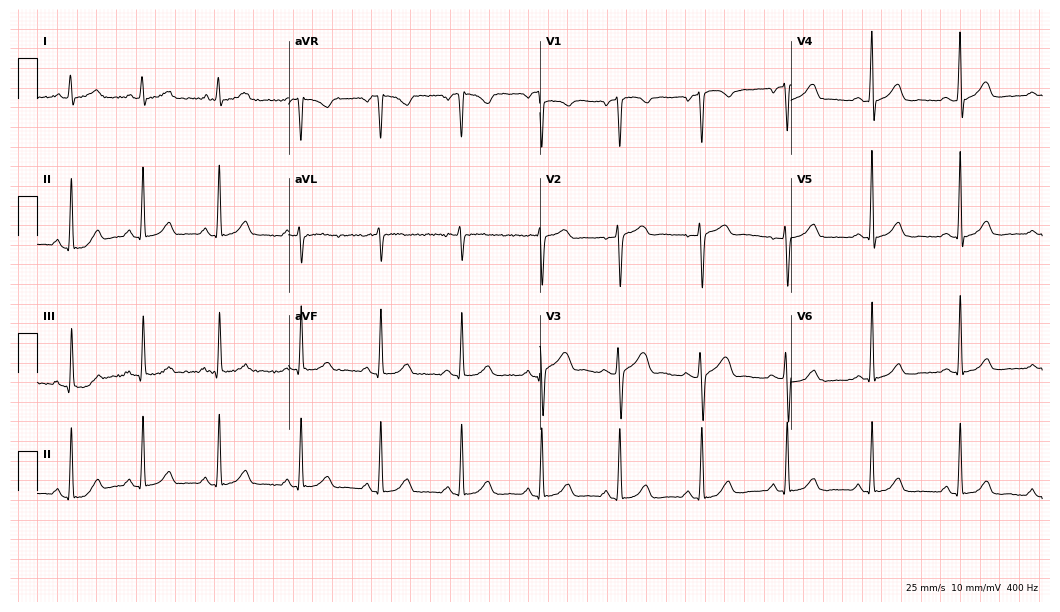
ECG — a 38-year-old female patient. Screened for six findings — first-degree AV block, right bundle branch block (RBBB), left bundle branch block (LBBB), sinus bradycardia, atrial fibrillation (AF), sinus tachycardia — none is recorded.